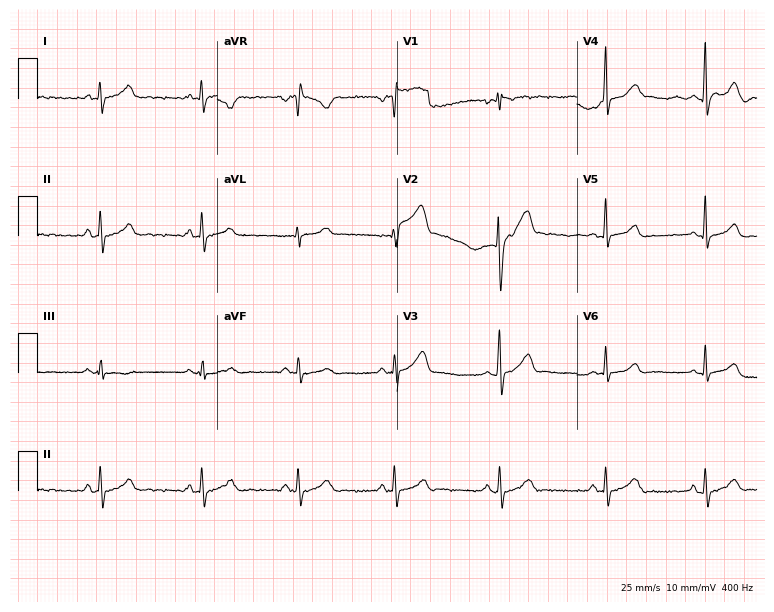
12-lead ECG (7.3-second recording at 400 Hz) from a 22-year-old male patient. Labelled as a normal ECG.